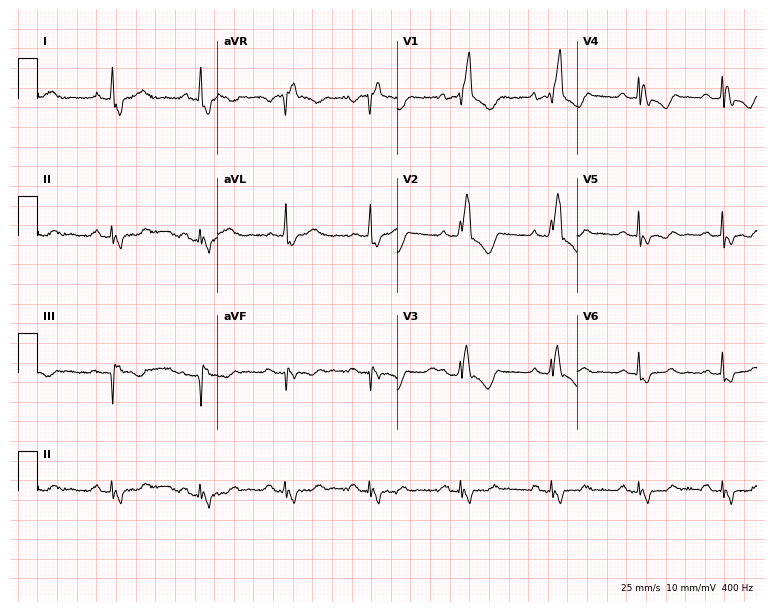
12-lead ECG from a 70-year-old woman. Findings include right bundle branch block (RBBB).